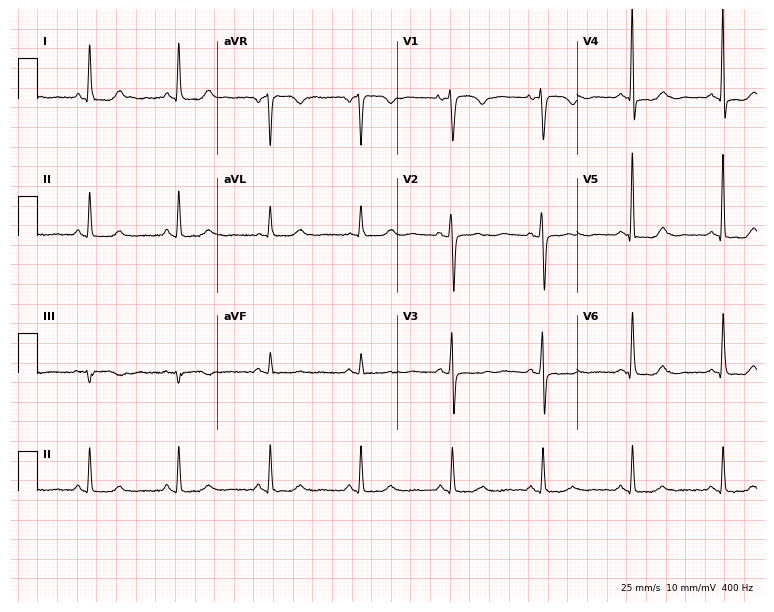
Electrocardiogram, a female patient, 50 years old. Of the six screened findings (first-degree AV block, right bundle branch block, left bundle branch block, sinus bradycardia, atrial fibrillation, sinus tachycardia), none is recorded. Only these six findings were labelled.